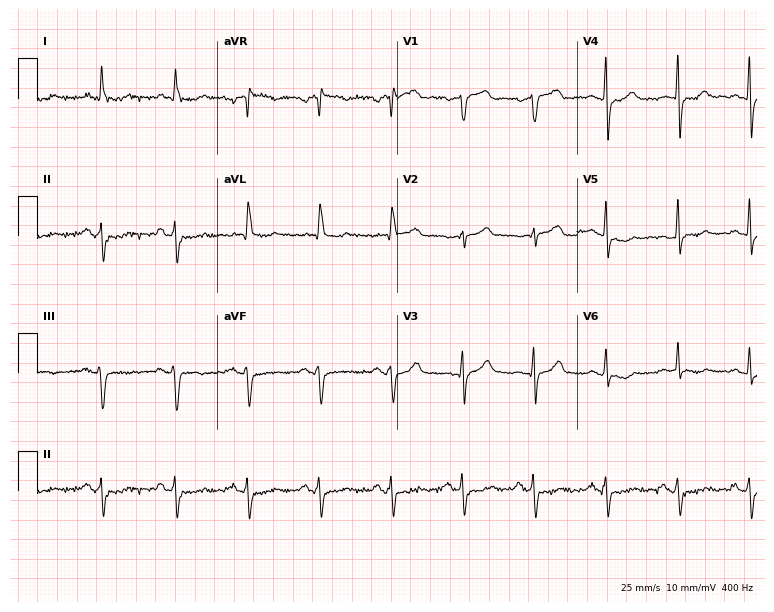
12-lead ECG from a man, 72 years old. Screened for six findings — first-degree AV block, right bundle branch block, left bundle branch block, sinus bradycardia, atrial fibrillation, sinus tachycardia — none is recorded.